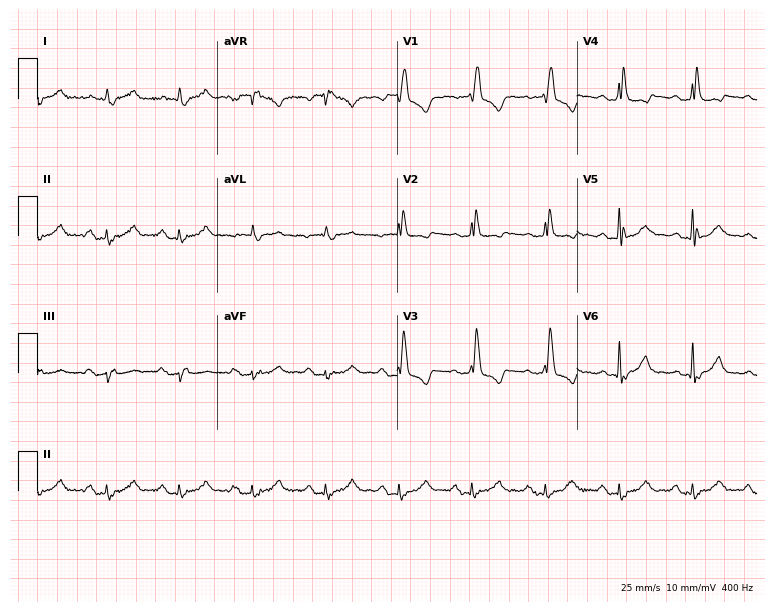
Resting 12-lead electrocardiogram. Patient: an 81-year-old woman. The tracing shows right bundle branch block.